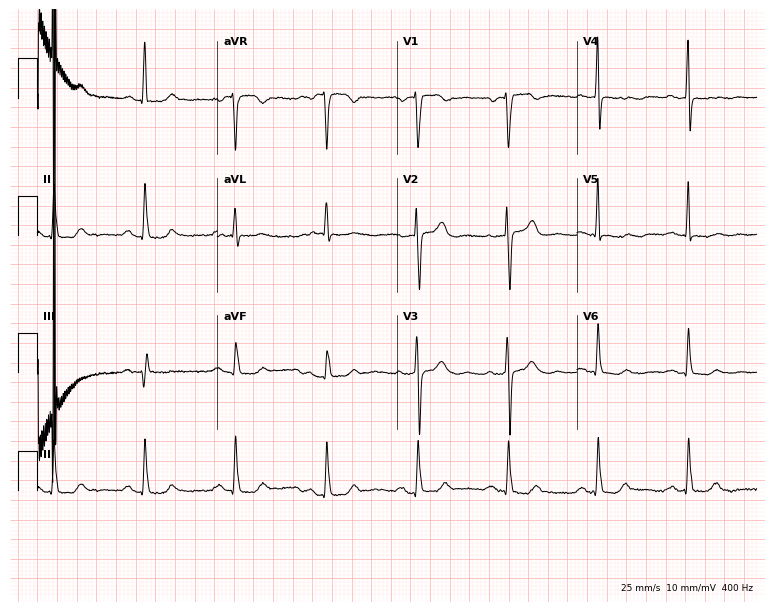
Electrocardiogram (7.3-second recording at 400 Hz), a female patient, 83 years old. Overall reading on record: normal ECG.